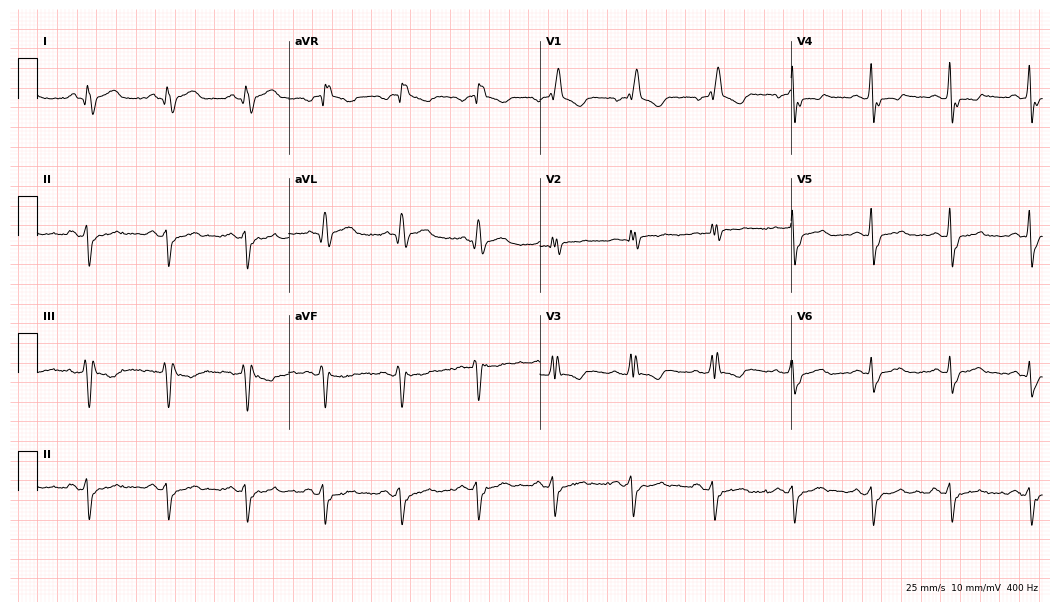
Standard 12-lead ECG recorded from a 72-year-old male. The tracing shows right bundle branch block.